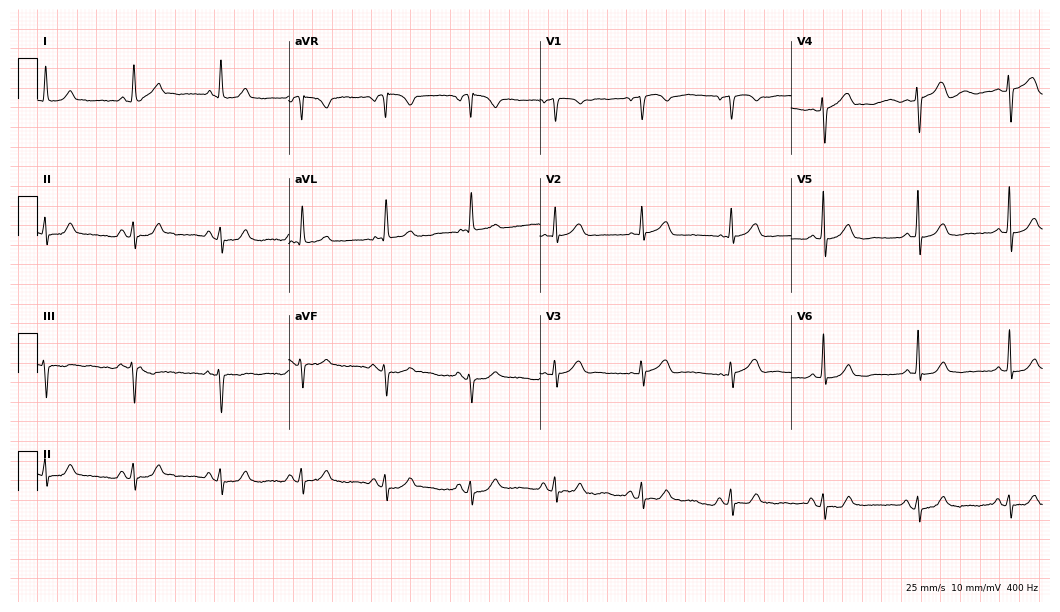
Resting 12-lead electrocardiogram (10.2-second recording at 400 Hz). Patient: a female, 69 years old. Read as a normal ECG.